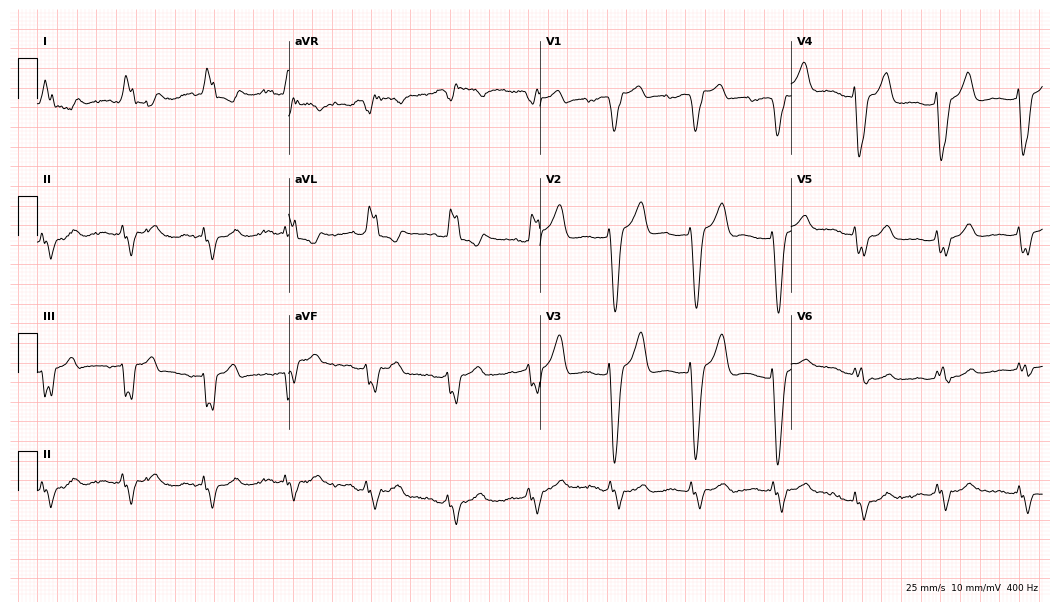
ECG — a female patient, 82 years old. Findings include left bundle branch block (LBBB).